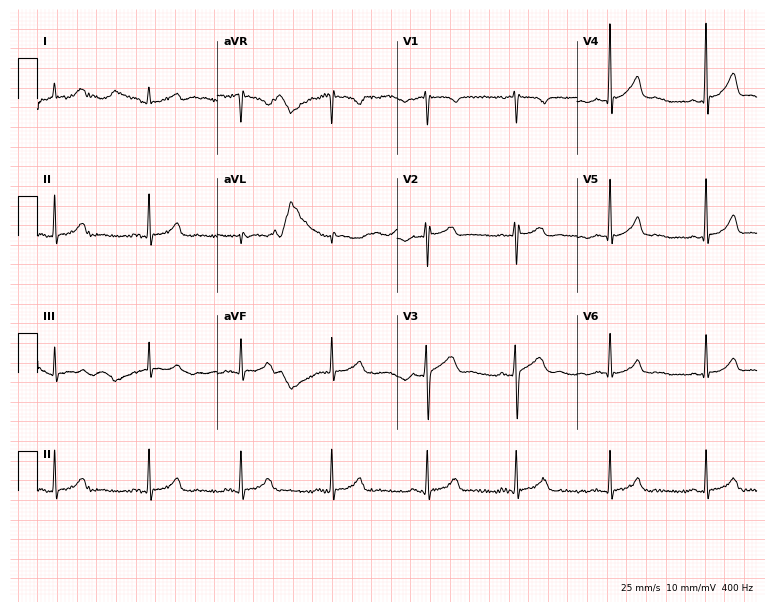
12-lead ECG from a 20-year-old man. Recorded interpretation: within normal limits.